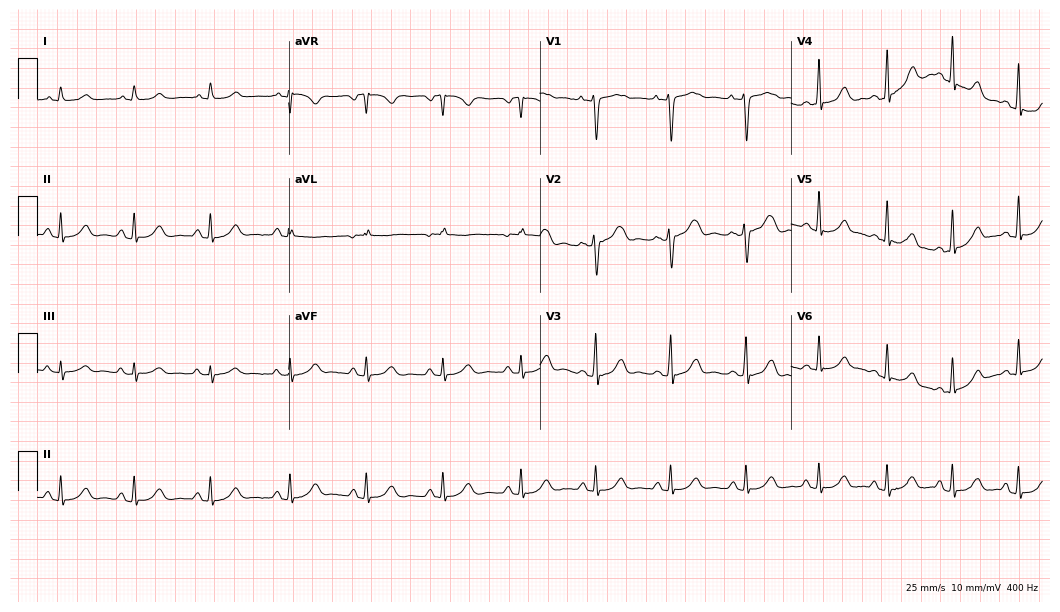
Resting 12-lead electrocardiogram. Patient: a 37-year-old female. Read as a normal ECG.